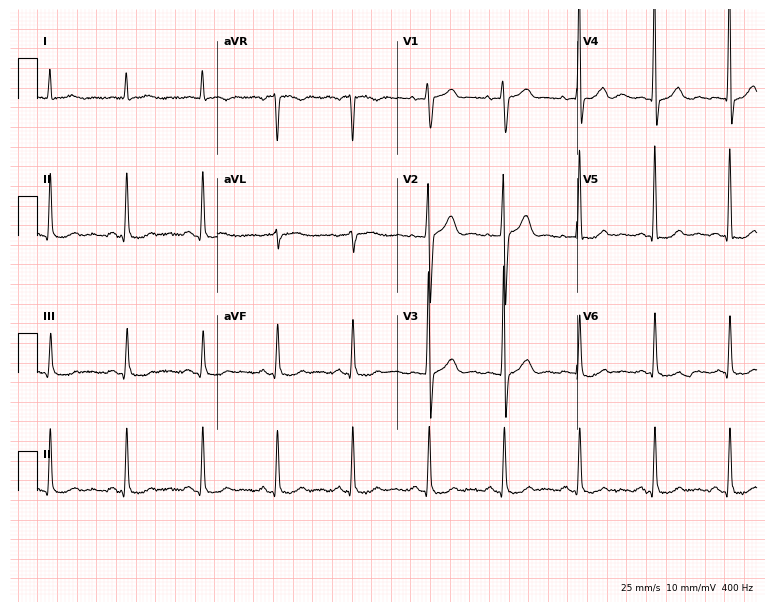
Resting 12-lead electrocardiogram. Patient: a man, 70 years old. None of these six findings is recorded: first-degree AV block, right bundle branch block (RBBB), left bundle branch block (LBBB), sinus bradycardia, atrial fibrillation (AF), sinus tachycardia. Findings outside these six are not listed.